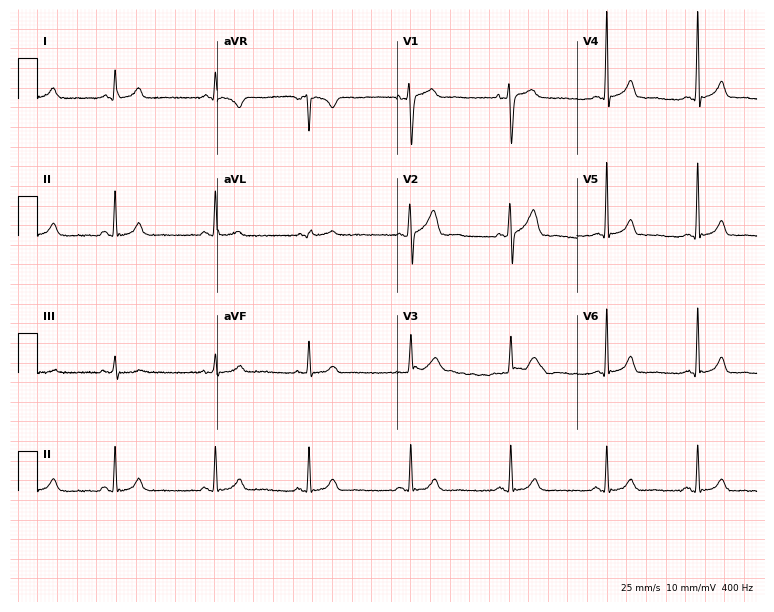
12-lead ECG from a man, 32 years old (7.3-second recording at 400 Hz). Recorded interpretation: within normal limits.